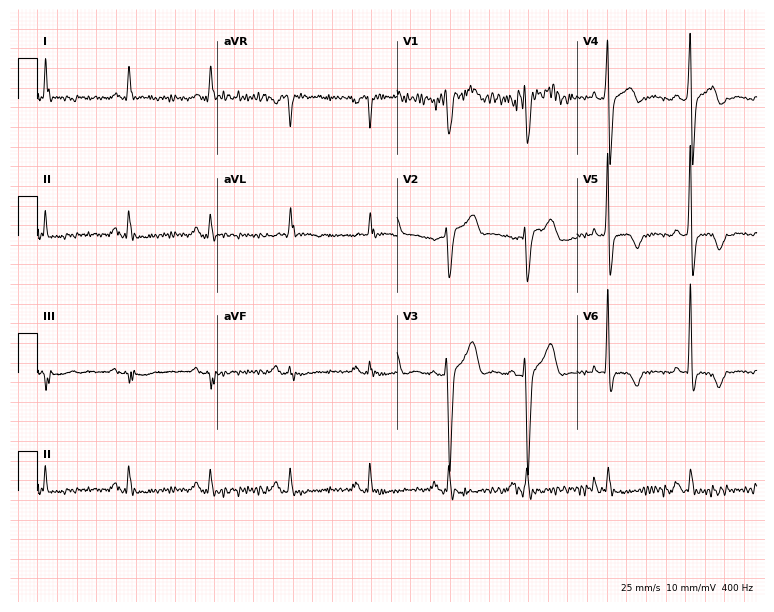
Standard 12-lead ECG recorded from a 67-year-old man. None of these six findings is recorded: first-degree AV block, right bundle branch block, left bundle branch block, sinus bradycardia, atrial fibrillation, sinus tachycardia.